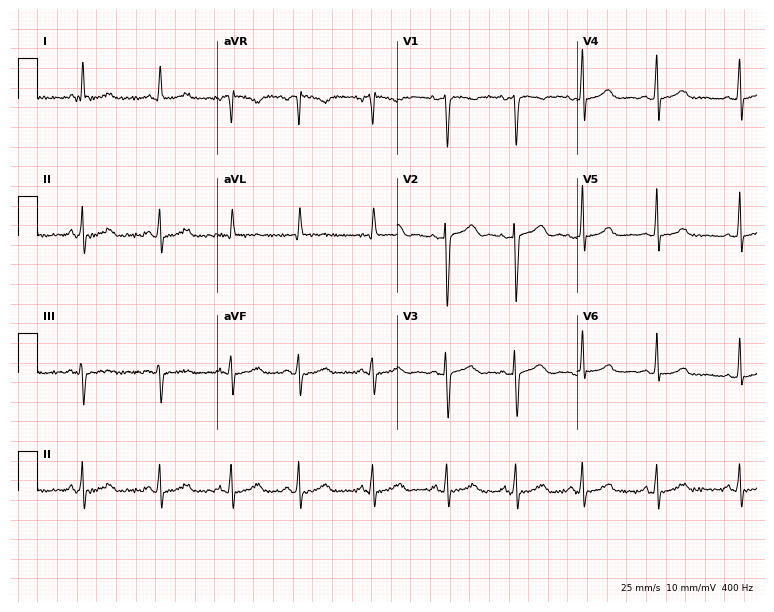
12-lead ECG from a woman, 39 years old. Labelled as a normal ECG.